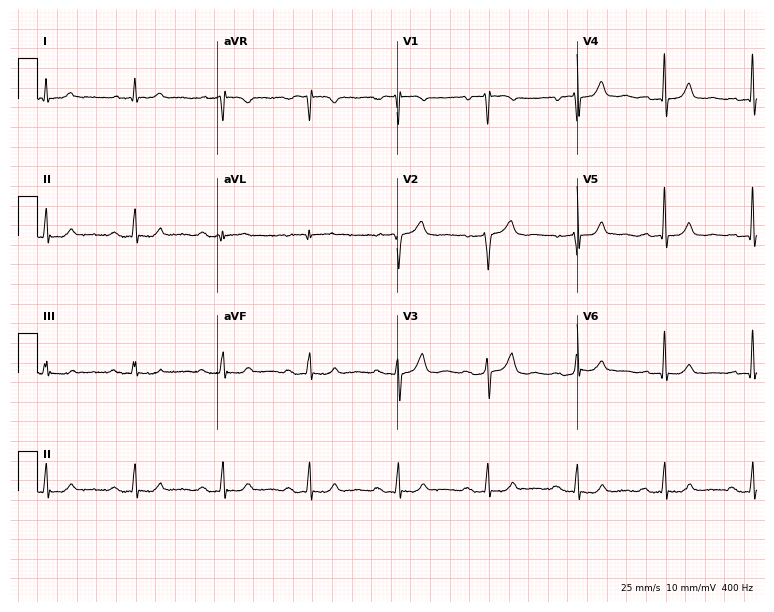
12-lead ECG (7.3-second recording at 400 Hz) from a 76-year-old male. Screened for six findings — first-degree AV block, right bundle branch block, left bundle branch block, sinus bradycardia, atrial fibrillation, sinus tachycardia — none is recorded. Only these six findings were labelled.